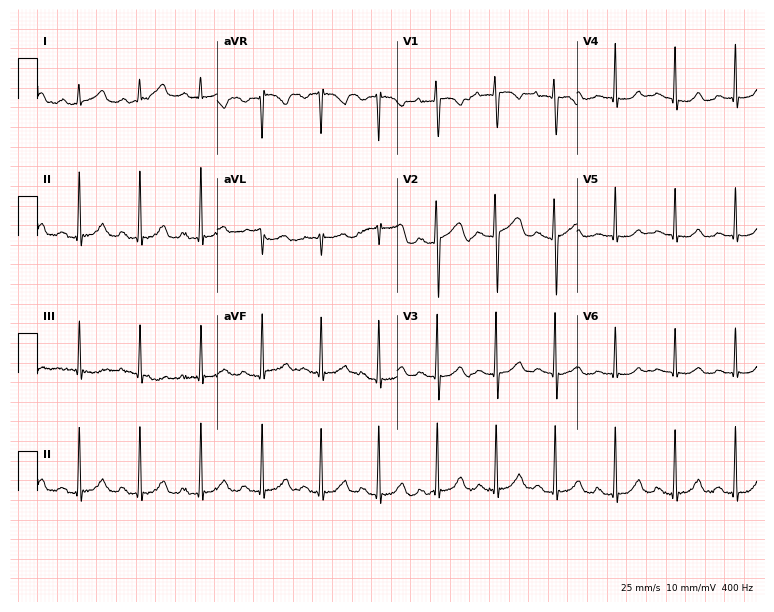
Resting 12-lead electrocardiogram (7.3-second recording at 400 Hz). Patient: a 30-year-old woman. Read as a normal ECG.